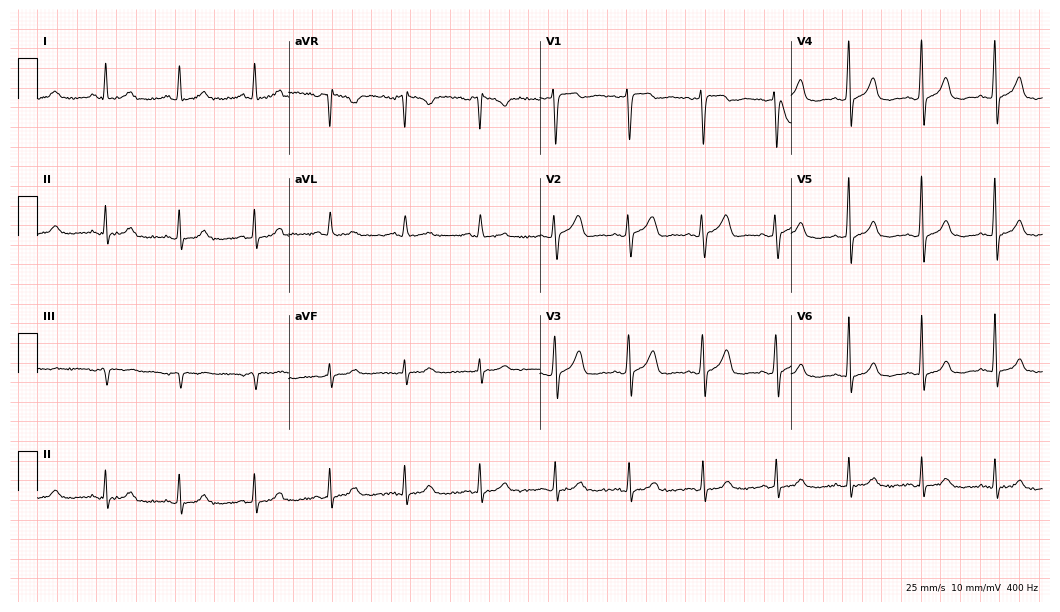
Electrocardiogram (10.2-second recording at 400 Hz), a woman, 60 years old. Overall reading on record: normal ECG.